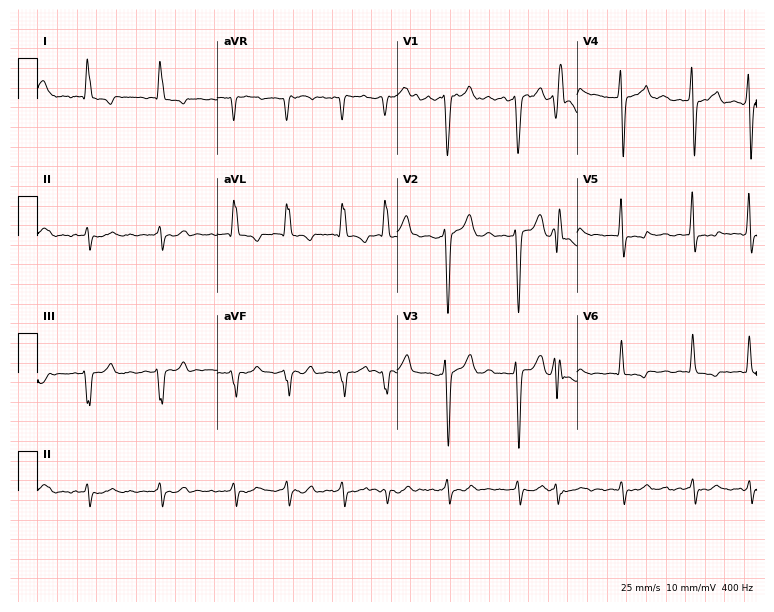
Resting 12-lead electrocardiogram (7.3-second recording at 400 Hz). Patient: a male, 79 years old. The tracing shows atrial fibrillation.